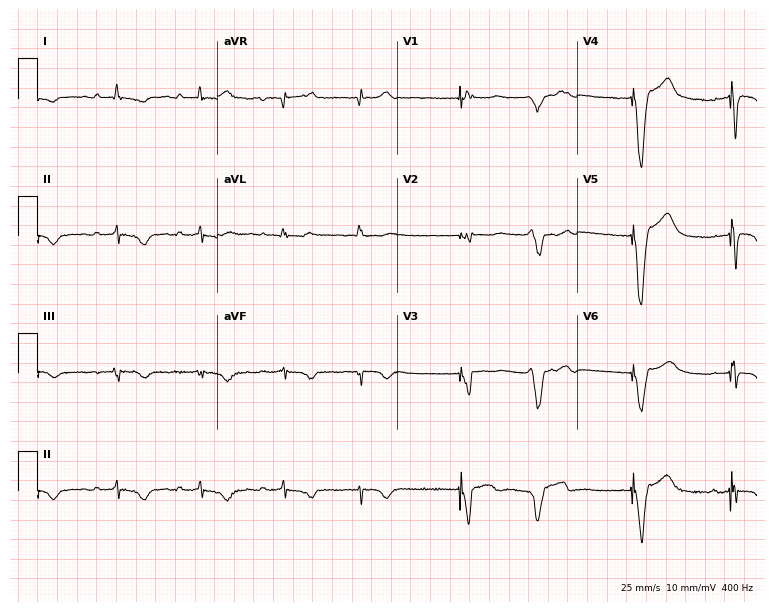
Standard 12-lead ECG recorded from a female patient, 84 years old. None of these six findings is recorded: first-degree AV block, right bundle branch block, left bundle branch block, sinus bradycardia, atrial fibrillation, sinus tachycardia. Findings outside these six are not listed.